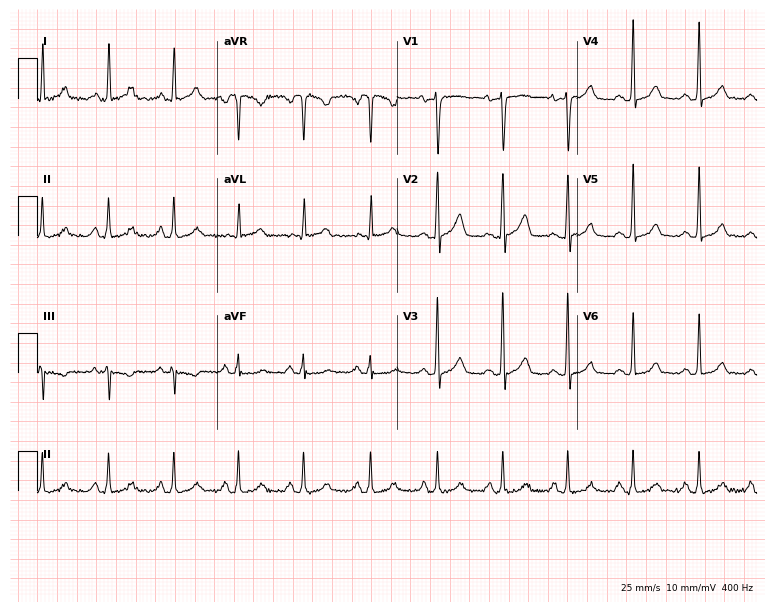
Resting 12-lead electrocardiogram (7.3-second recording at 400 Hz). Patient: a 35-year-old female. Read as a normal ECG.